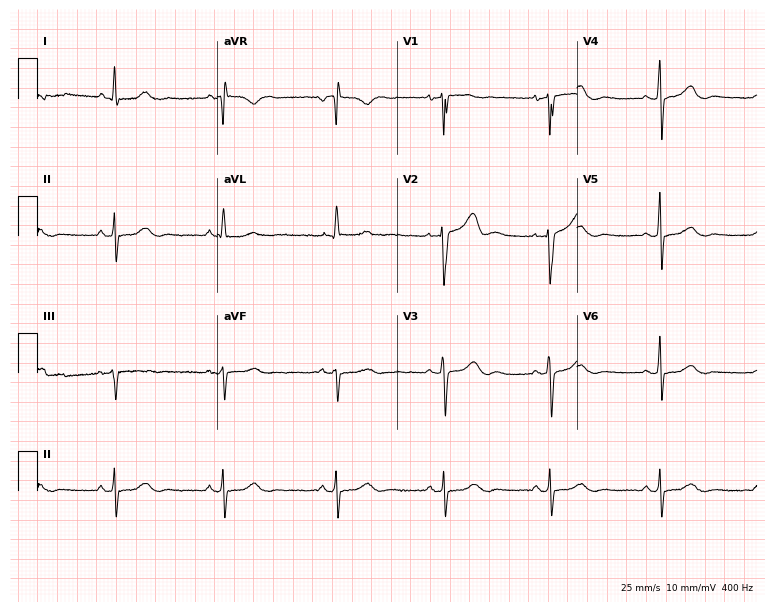
Standard 12-lead ECG recorded from a 75-year-old woman (7.3-second recording at 400 Hz). None of these six findings is recorded: first-degree AV block, right bundle branch block (RBBB), left bundle branch block (LBBB), sinus bradycardia, atrial fibrillation (AF), sinus tachycardia. Only these six findings were labelled.